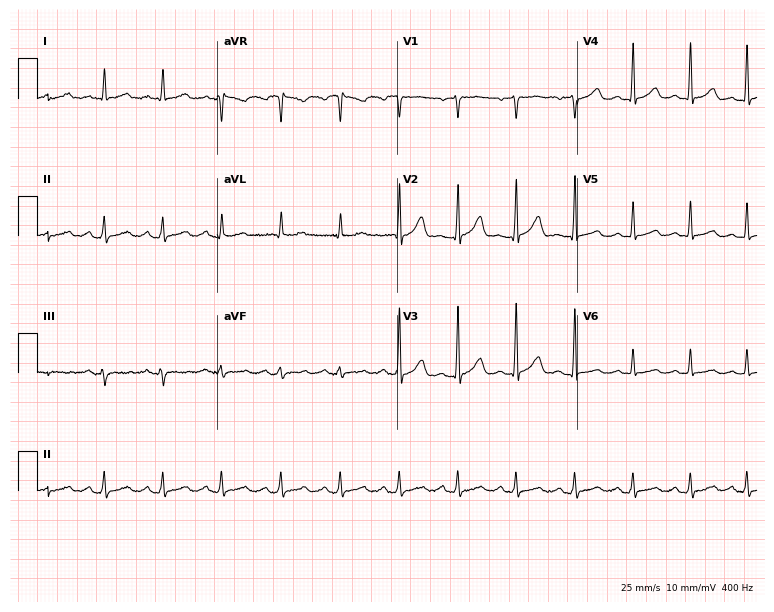
ECG (7.3-second recording at 400 Hz) — a male, 61 years old. Findings include sinus tachycardia (a sinus rate of 100 beats per minute or more).